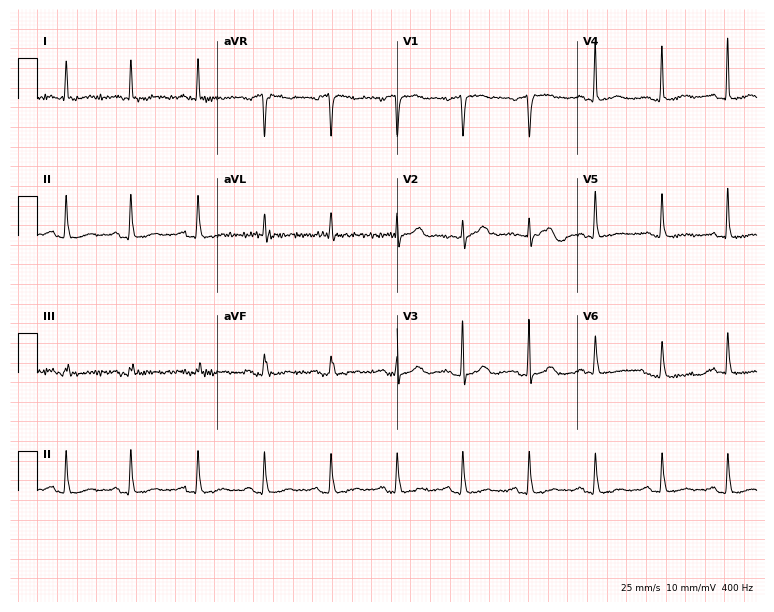
Electrocardiogram, a female patient, 73 years old. Of the six screened findings (first-degree AV block, right bundle branch block, left bundle branch block, sinus bradycardia, atrial fibrillation, sinus tachycardia), none is recorded.